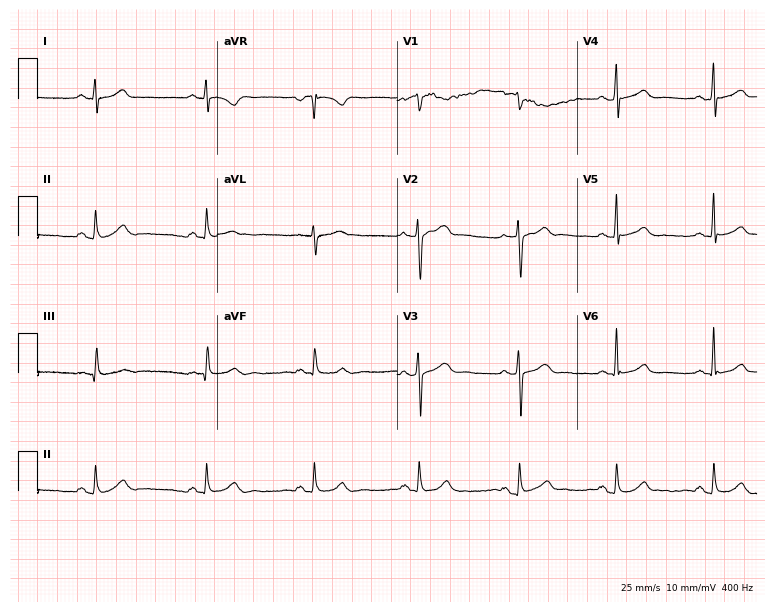
Resting 12-lead electrocardiogram. Patient: a 50-year-old man. Read as a normal ECG.